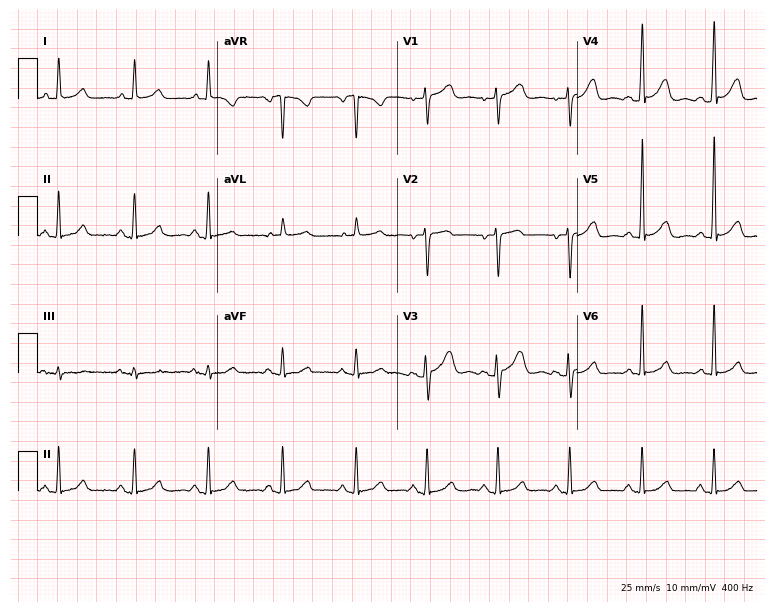
Electrocardiogram (7.3-second recording at 400 Hz), a 48-year-old female patient. Of the six screened findings (first-degree AV block, right bundle branch block (RBBB), left bundle branch block (LBBB), sinus bradycardia, atrial fibrillation (AF), sinus tachycardia), none is recorded. Other findings, if any, are not listed.